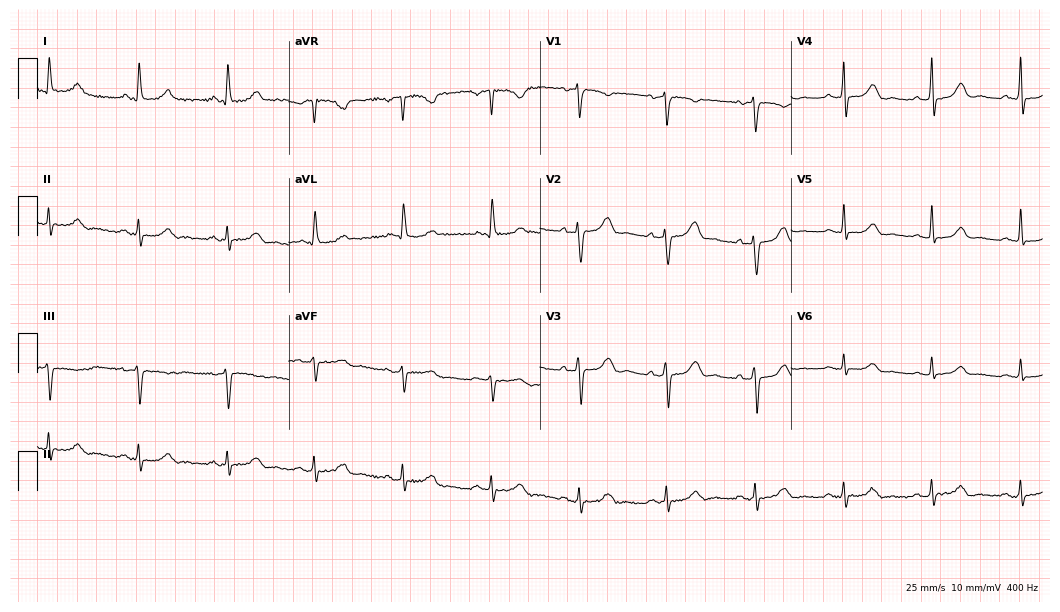
ECG — a woman, 75 years old. Labelled as a normal ECG.